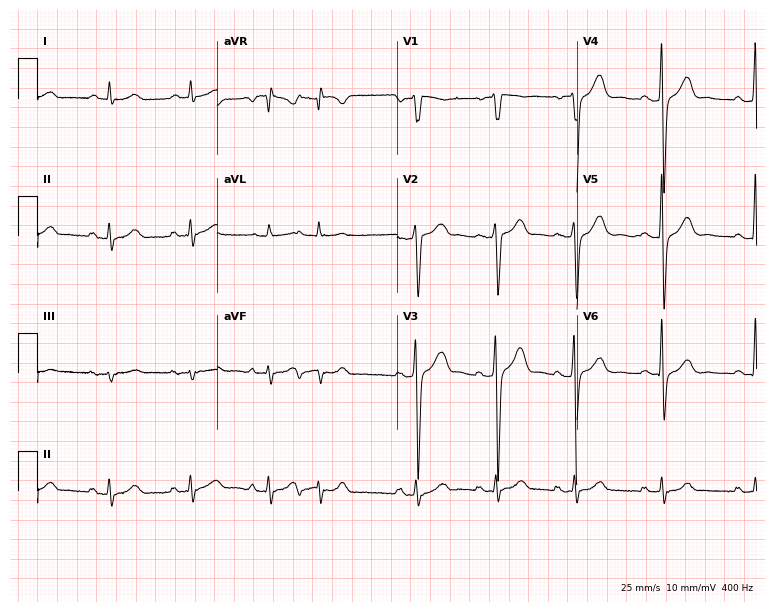
ECG — a 44-year-old male. Screened for six findings — first-degree AV block, right bundle branch block, left bundle branch block, sinus bradycardia, atrial fibrillation, sinus tachycardia — none is recorded.